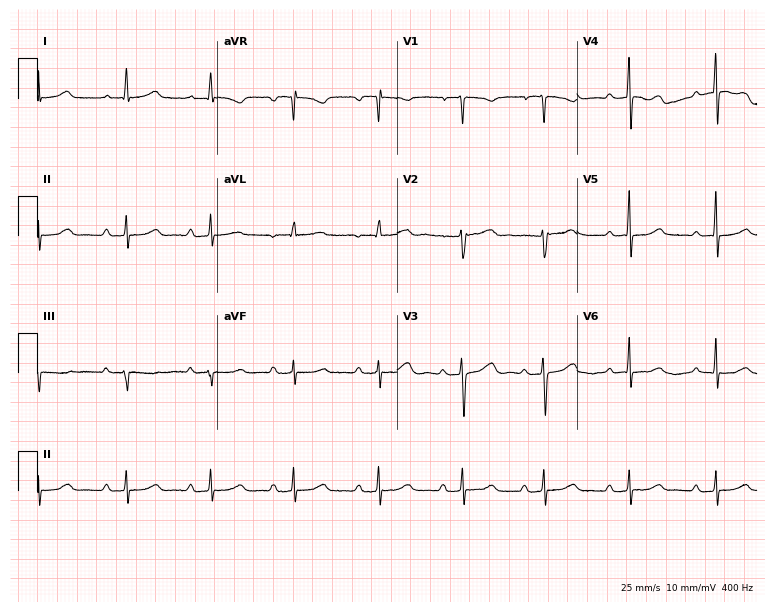
12-lead ECG (7.3-second recording at 400 Hz) from a 56-year-old female. Findings include first-degree AV block.